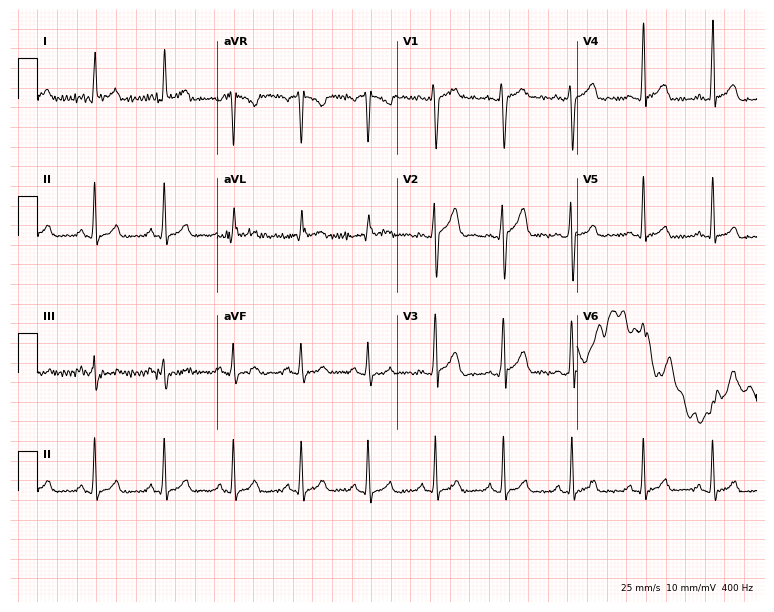
Resting 12-lead electrocardiogram. Patient: a 22-year-old male. None of these six findings is recorded: first-degree AV block, right bundle branch block (RBBB), left bundle branch block (LBBB), sinus bradycardia, atrial fibrillation (AF), sinus tachycardia.